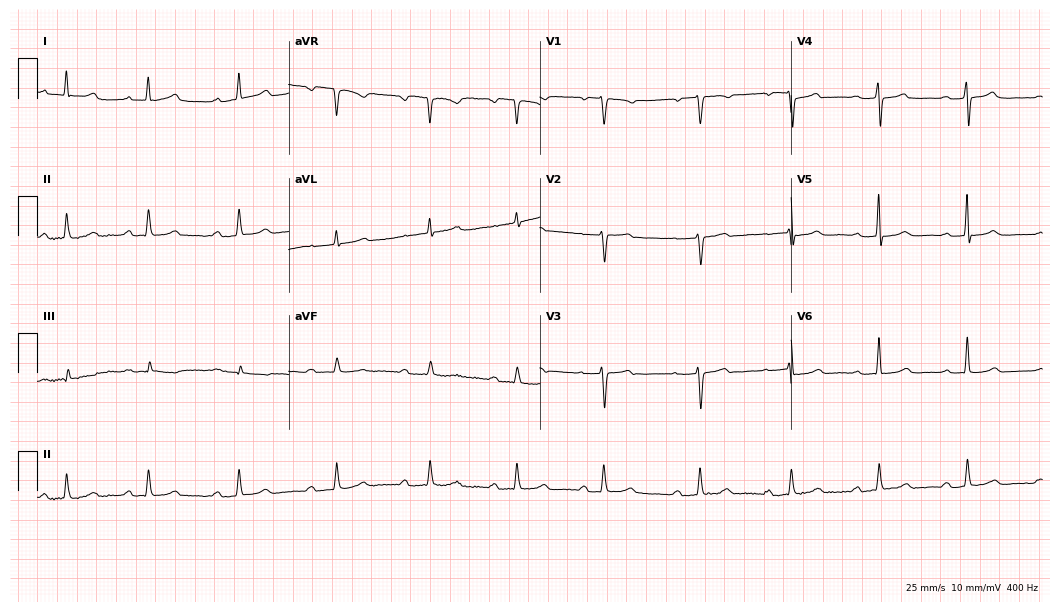
Standard 12-lead ECG recorded from a 65-year-old female. Read as a normal ECG.